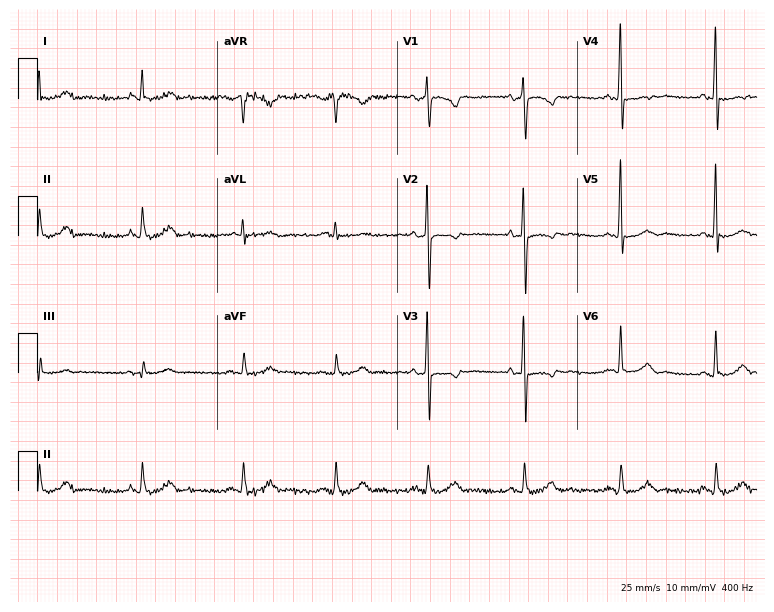
Resting 12-lead electrocardiogram. Patient: a man, 71 years old. Read as a normal ECG.